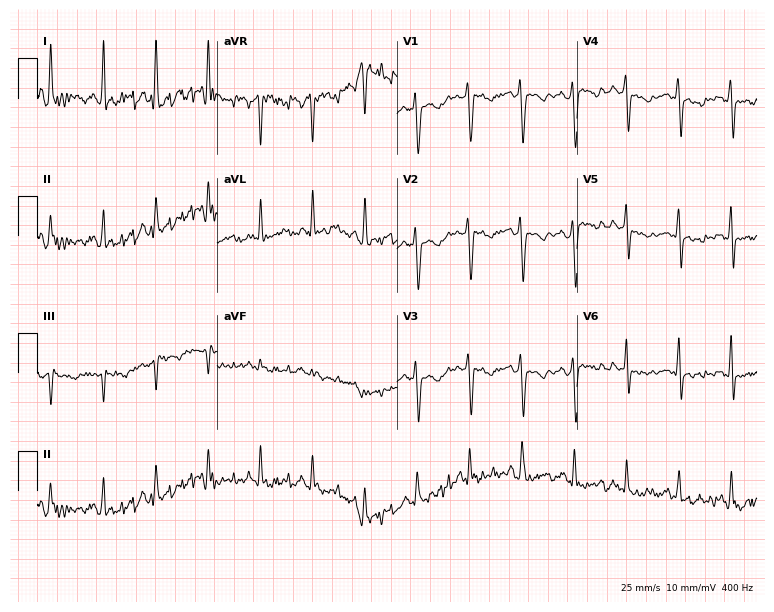
Resting 12-lead electrocardiogram. Patient: a female, 47 years old. None of these six findings is recorded: first-degree AV block, right bundle branch block (RBBB), left bundle branch block (LBBB), sinus bradycardia, atrial fibrillation (AF), sinus tachycardia. Other findings, if any, are not listed.